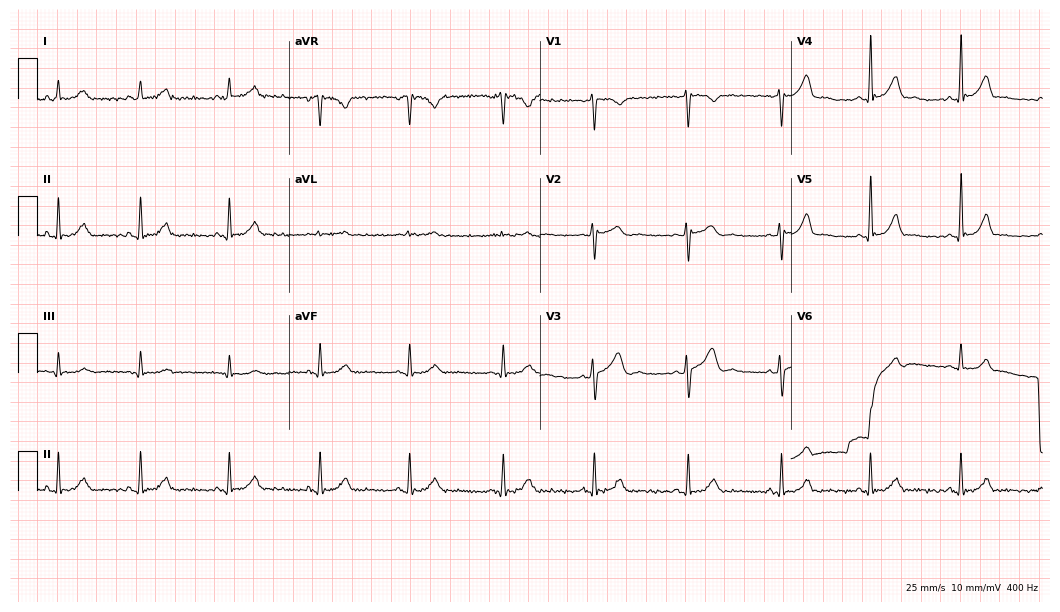
Standard 12-lead ECG recorded from a man, 37 years old. Read as a normal ECG.